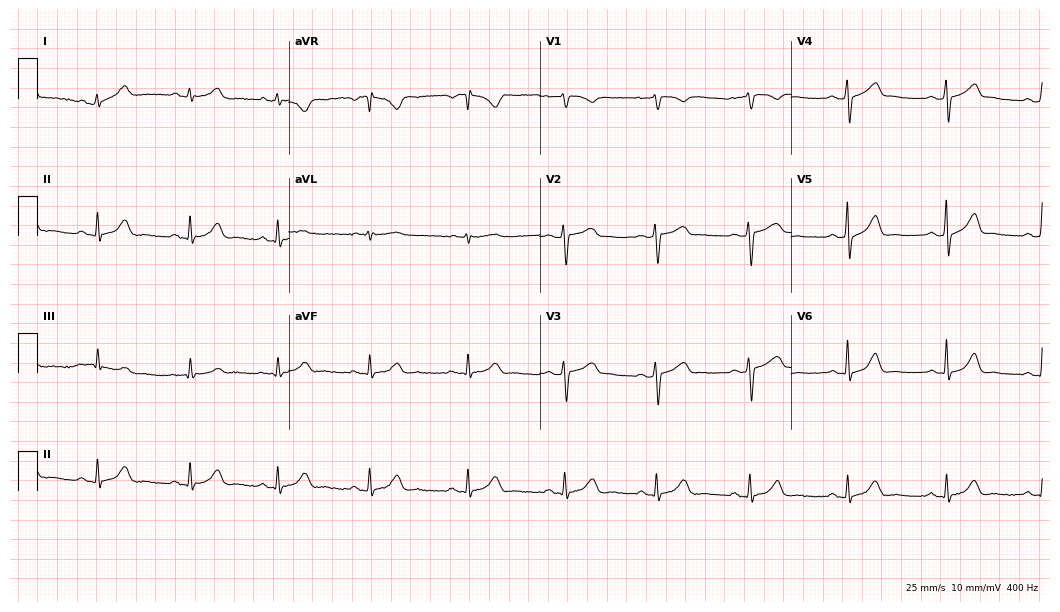
12-lead ECG from a female, 42 years old. Recorded interpretation: within normal limits.